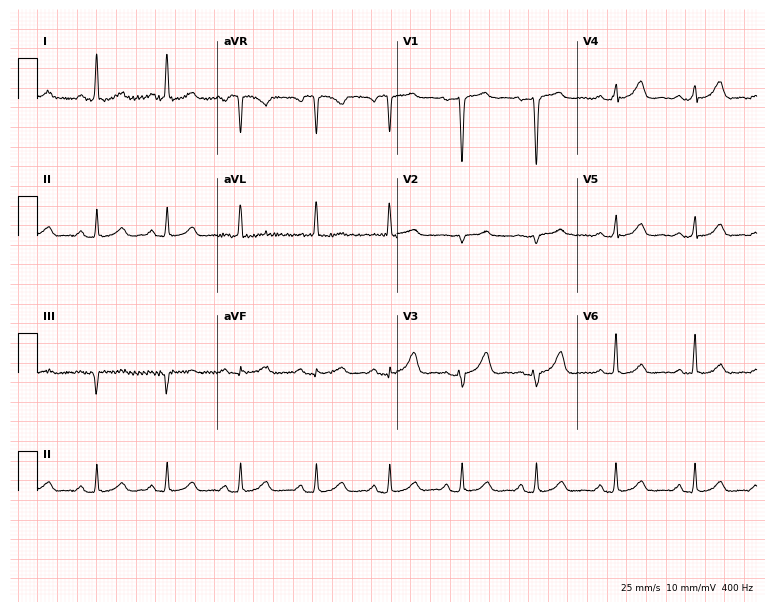
12-lead ECG (7.3-second recording at 400 Hz) from a female patient, 44 years old. Screened for six findings — first-degree AV block, right bundle branch block, left bundle branch block, sinus bradycardia, atrial fibrillation, sinus tachycardia — none is recorded. Other findings, if any, are not listed.